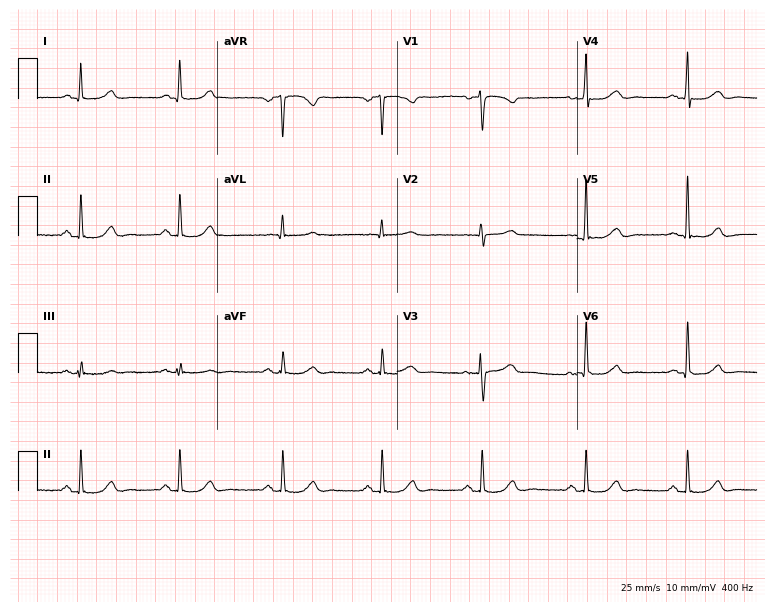
12-lead ECG (7.3-second recording at 400 Hz) from a 54-year-old female. Screened for six findings — first-degree AV block, right bundle branch block, left bundle branch block, sinus bradycardia, atrial fibrillation, sinus tachycardia — none is recorded. Only these six findings were labelled.